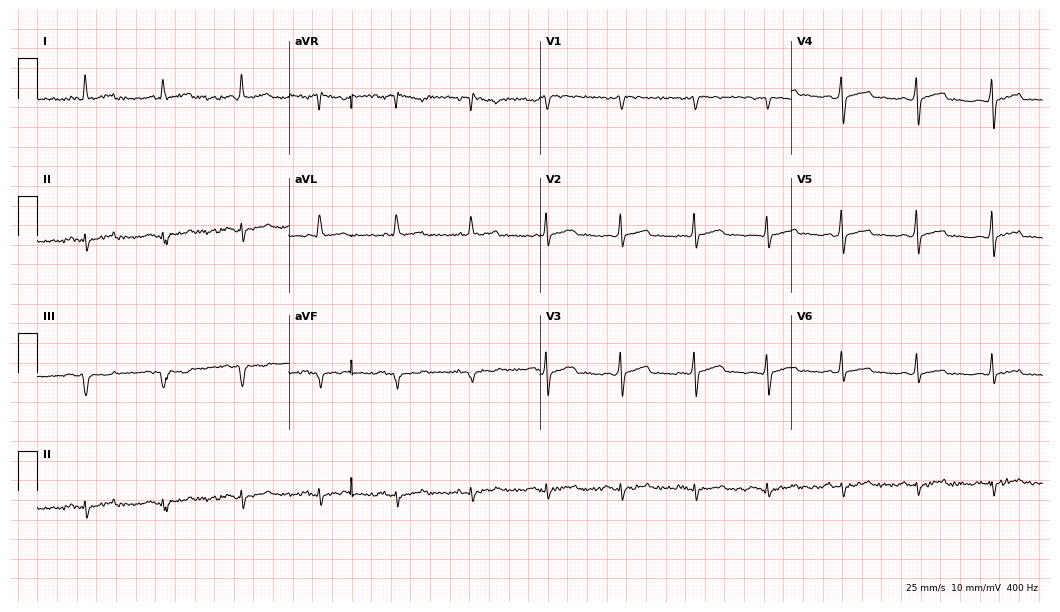
Standard 12-lead ECG recorded from a 49-year-old male patient (10.2-second recording at 400 Hz). Read as a normal ECG.